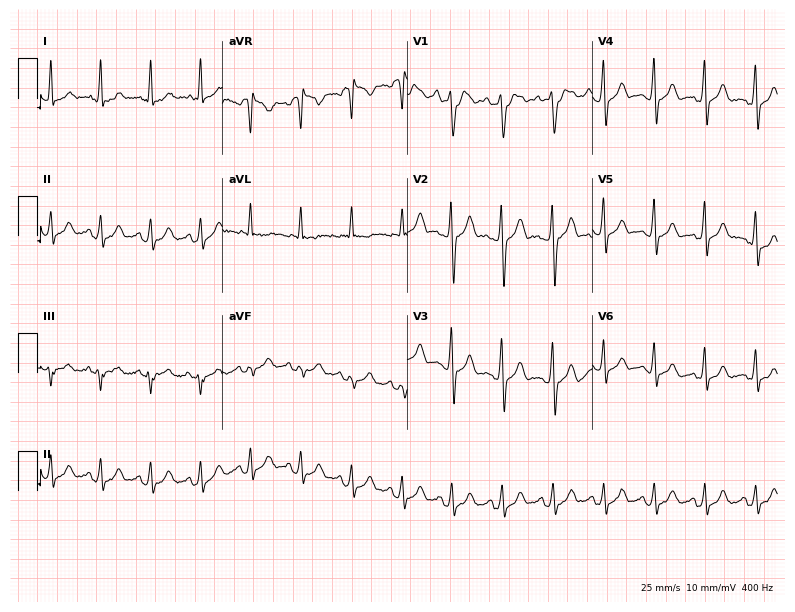
12-lead ECG (7.5-second recording at 400 Hz) from a female, 18 years old. Screened for six findings — first-degree AV block, right bundle branch block, left bundle branch block, sinus bradycardia, atrial fibrillation, sinus tachycardia — none is recorded. Other findings, if any, are not listed.